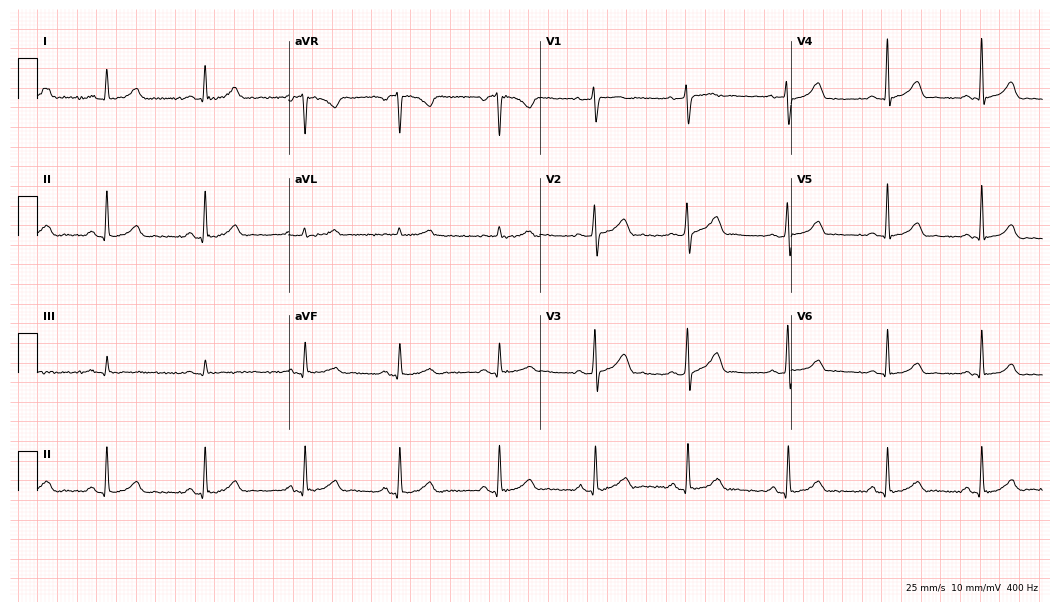
12-lead ECG (10.2-second recording at 400 Hz) from a woman, 41 years old. Labelled as a normal ECG.